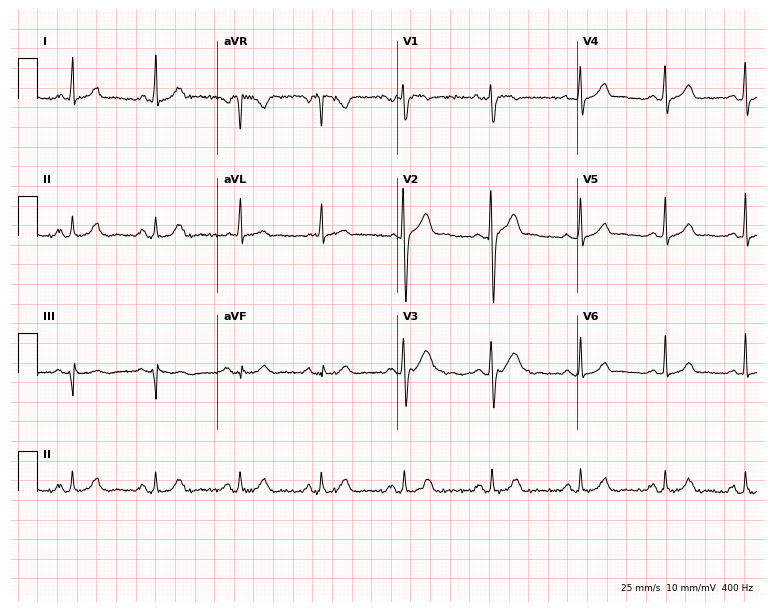
Resting 12-lead electrocardiogram (7.3-second recording at 400 Hz). Patient: a 29-year-old man. Read as a normal ECG.